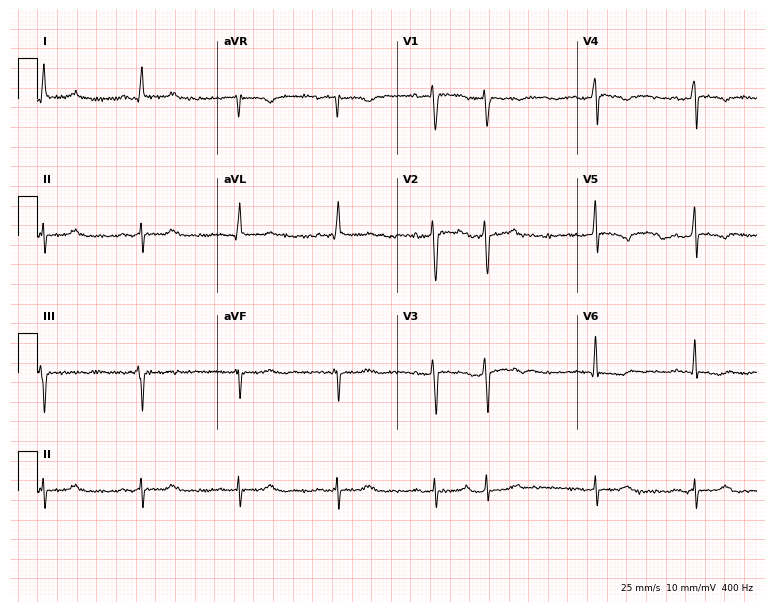
12-lead ECG (7.3-second recording at 400 Hz) from a 61-year-old man. Screened for six findings — first-degree AV block, right bundle branch block, left bundle branch block, sinus bradycardia, atrial fibrillation, sinus tachycardia — none is recorded. Only these six findings were labelled.